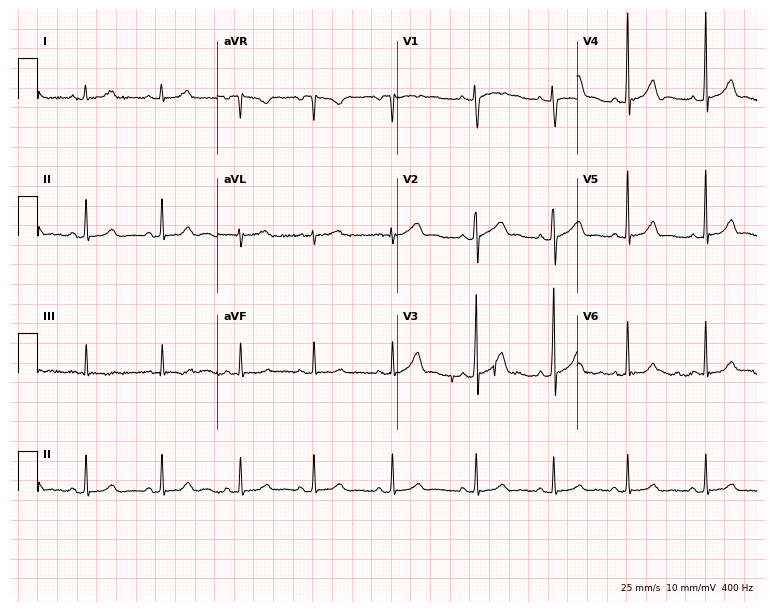
Standard 12-lead ECG recorded from a female, 20 years old (7.3-second recording at 400 Hz). Read as a normal ECG.